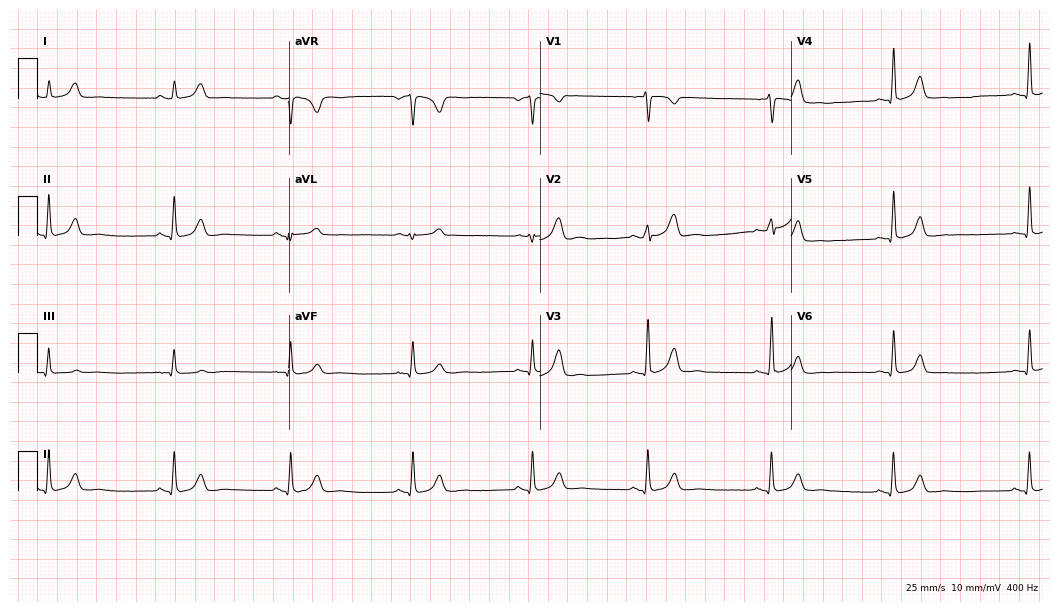
Standard 12-lead ECG recorded from a 28-year-old female. Read as a normal ECG.